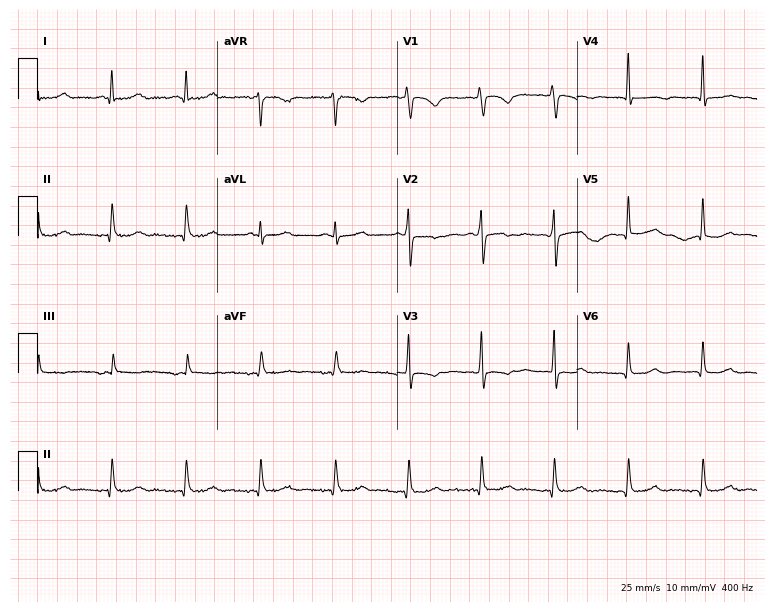
Resting 12-lead electrocardiogram (7.3-second recording at 400 Hz). Patient: a woman, 56 years old. None of these six findings is recorded: first-degree AV block, right bundle branch block, left bundle branch block, sinus bradycardia, atrial fibrillation, sinus tachycardia.